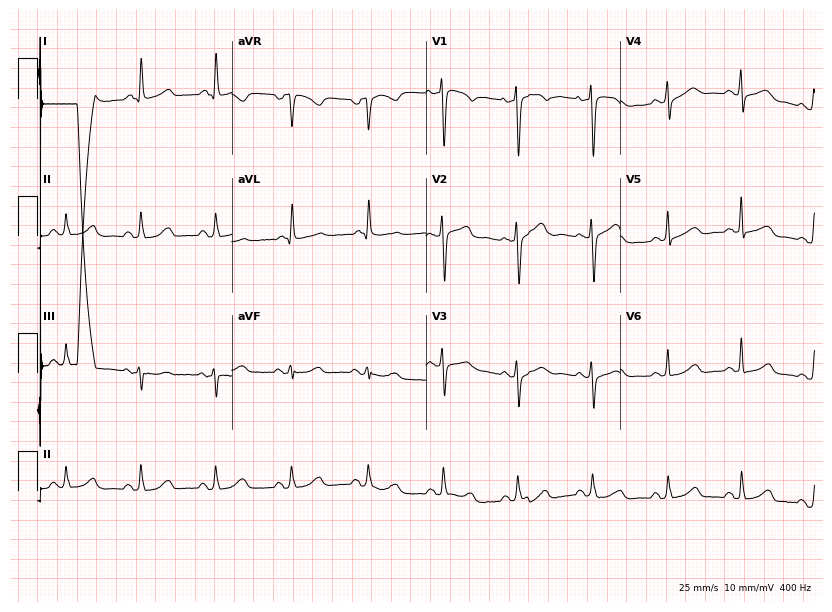
ECG (7.9-second recording at 400 Hz) — a 69-year-old woman. Screened for six findings — first-degree AV block, right bundle branch block (RBBB), left bundle branch block (LBBB), sinus bradycardia, atrial fibrillation (AF), sinus tachycardia — none is recorded.